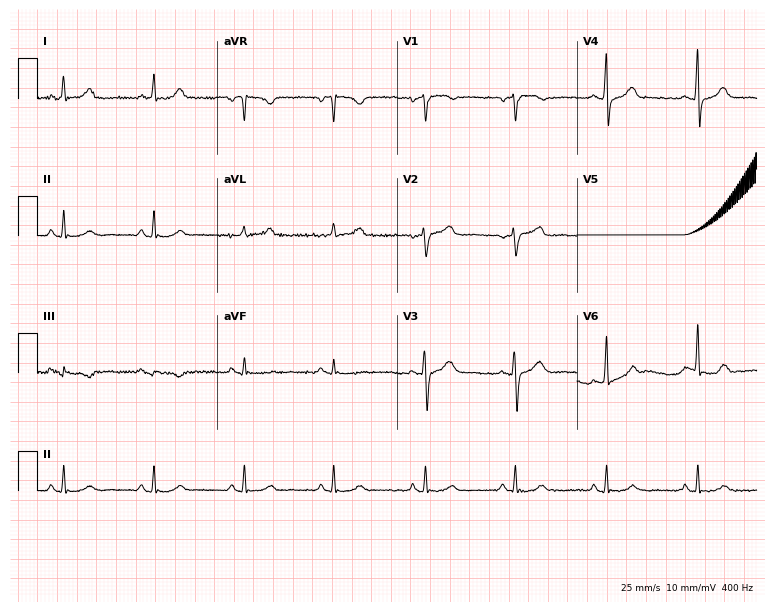
12-lead ECG (7.3-second recording at 400 Hz) from a woman, 50 years old. Labelled as a normal ECG.